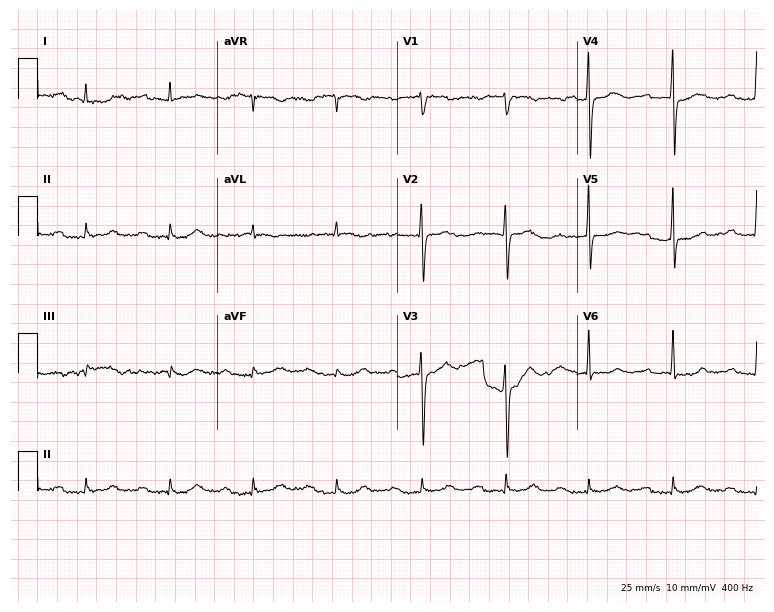
Resting 12-lead electrocardiogram. Patient: a 79-year-old male. None of these six findings is recorded: first-degree AV block, right bundle branch block (RBBB), left bundle branch block (LBBB), sinus bradycardia, atrial fibrillation (AF), sinus tachycardia. Findings outside these six are not listed.